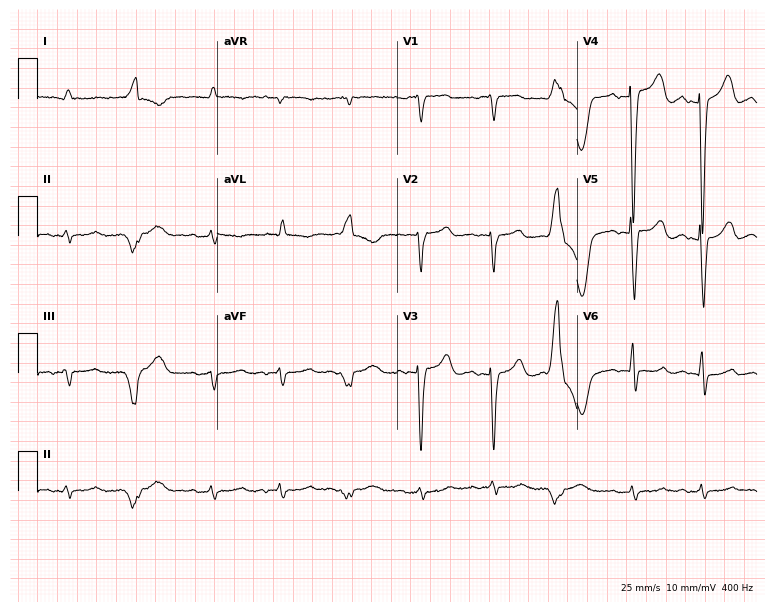
Resting 12-lead electrocardiogram (7.3-second recording at 400 Hz). Patient: a 60-year-old male. None of these six findings is recorded: first-degree AV block, right bundle branch block, left bundle branch block, sinus bradycardia, atrial fibrillation, sinus tachycardia. Other findings, if any, are not listed.